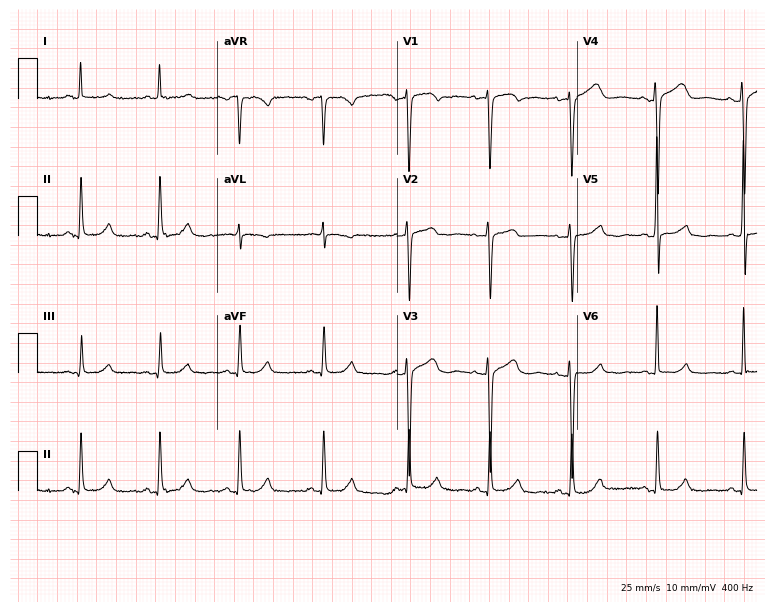
12-lead ECG from a female, 50 years old. Recorded interpretation: within normal limits.